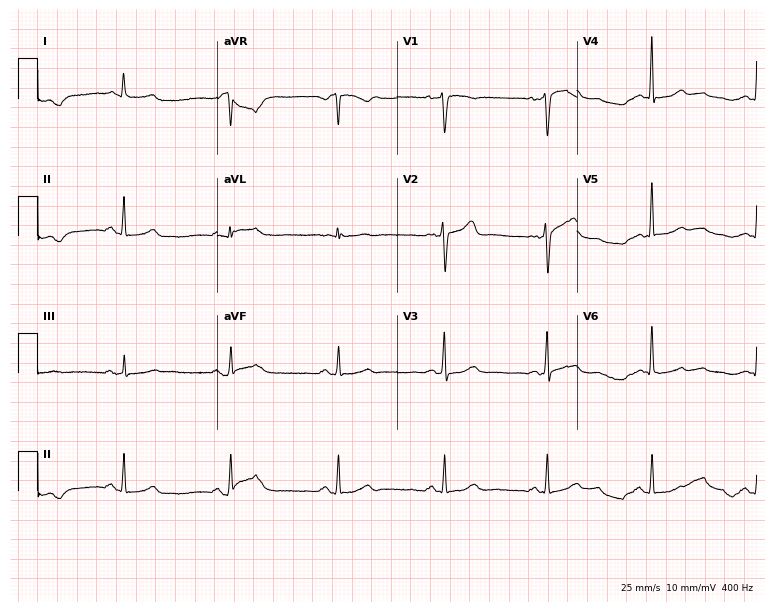
ECG (7.3-second recording at 400 Hz) — a woman, 43 years old. Labelled as a normal ECG.